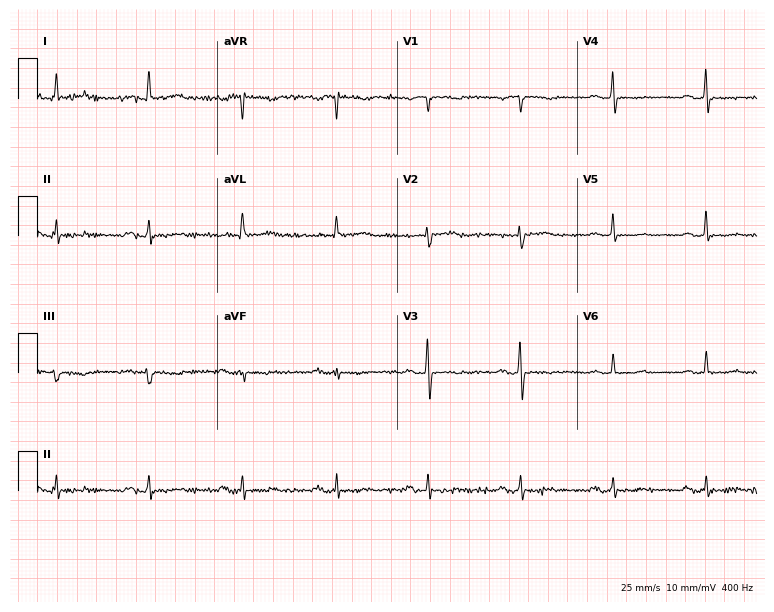
Electrocardiogram, a woman, 72 years old. Of the six screened findings (first-degree AV block, right bundle branch block, left bundle branch block, sinus bradycardia, atrial fibrillation, sinus tachycardia), none is recorded.